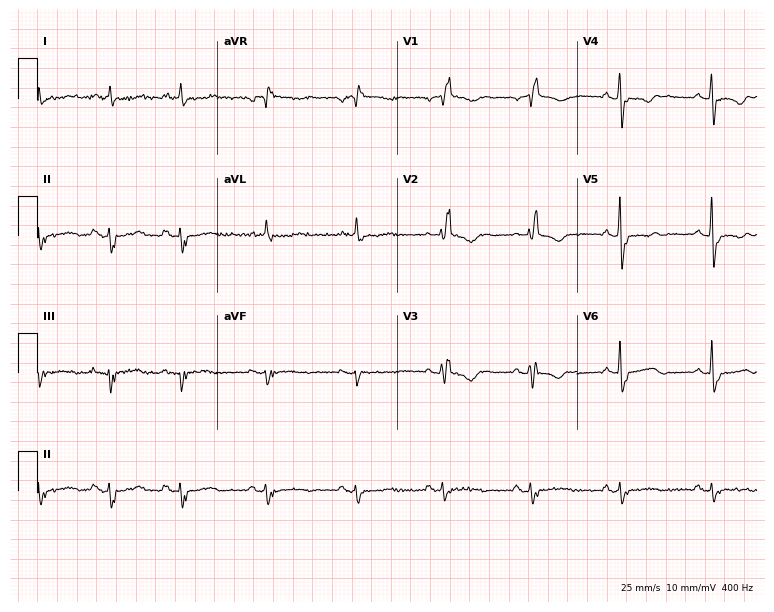
12-lead ECG (7.3-second recording at 400 Hz) from a female, 71 years old. Findings include right bundle branch block.